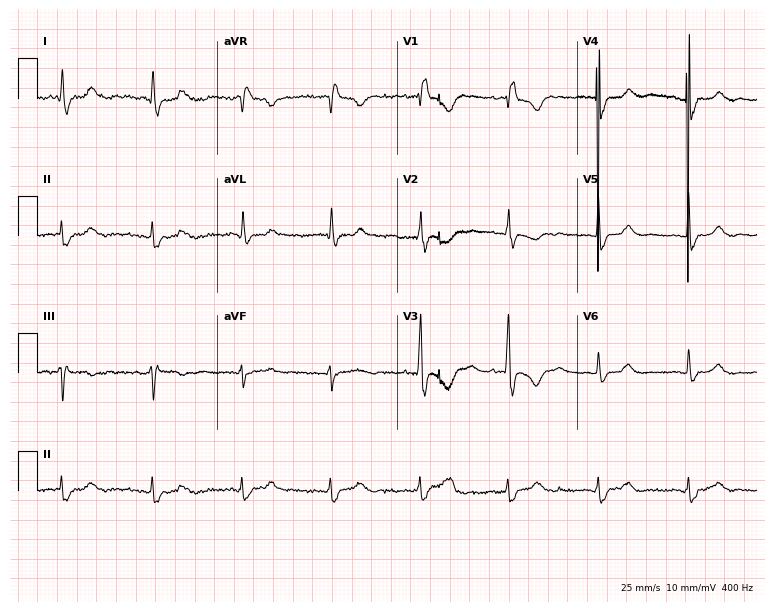
Electrocardiogram (7.3-second recording at 400 Hz), a female, 46 years old. Interpretation includes right bundle branch block (RBBB).